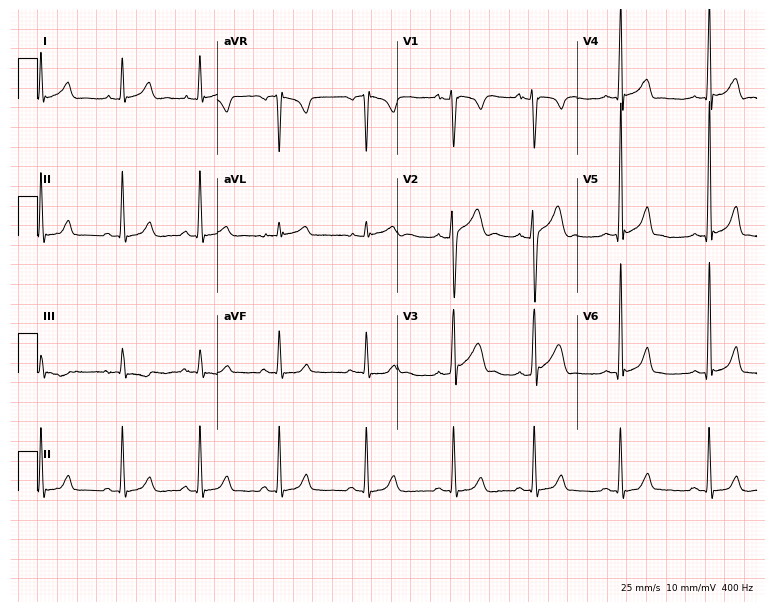
Resting 12-lead electrocardiogram. Patient: a male, 18 years old. Read as a normal ECG.